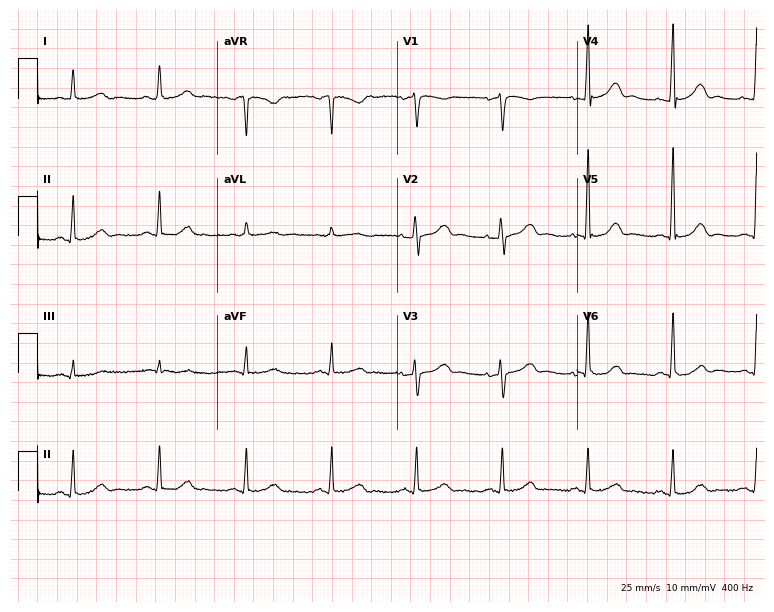
12-lead ECG (7.3-second recording at 400 Hz) from a female, 62 years old. Labelled as a normal ECG.